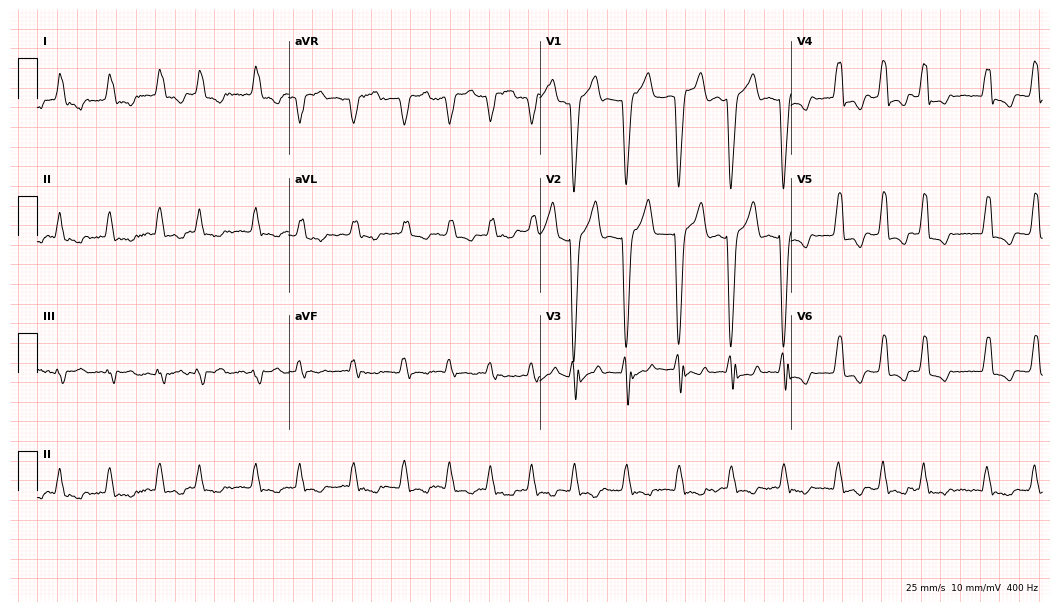
12-lead ECG from a female patient, 80 years old. Screened for six findings — first-degree AV block, right bundle branch block (RBBB), left bundle branch block (LBBB), sinus bradycardia, atrial fibrillation (AF), sinus tachycardia — none is recorded. Other findings, if any, are not listed.